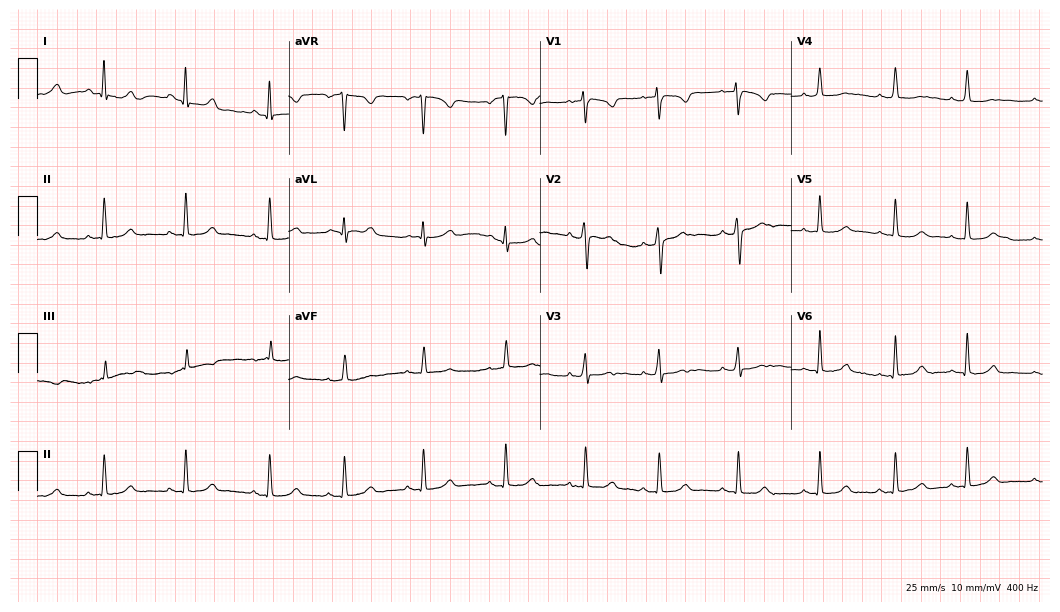
Electrocardiogram, a 17-year-old female patient. Overall reading on record: normal ECG.